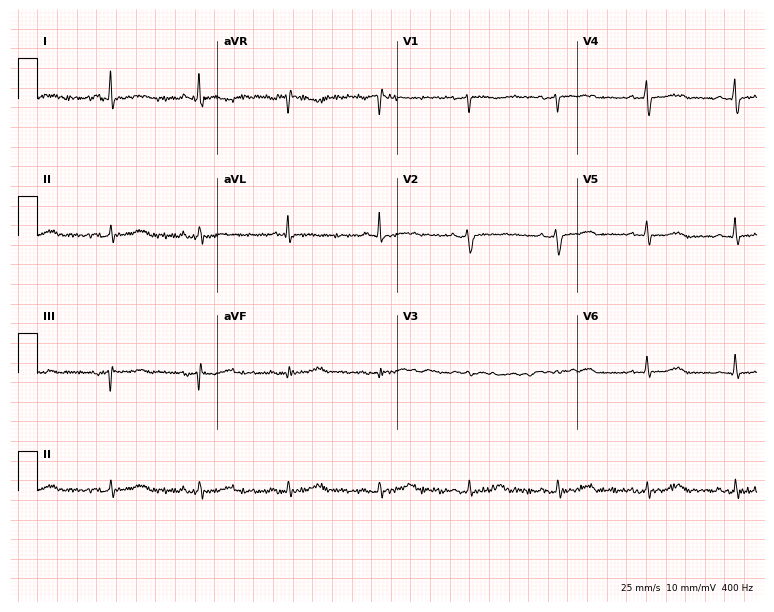
12-lead ECG from a 72-year-old woman (7.3-second recording at 400 Hz). No first-degree AV block, right bundle branch block, left bundle branch block, sinus bradycardia, atrial fibrillation or sinus tachycardia recorded for this tracing.